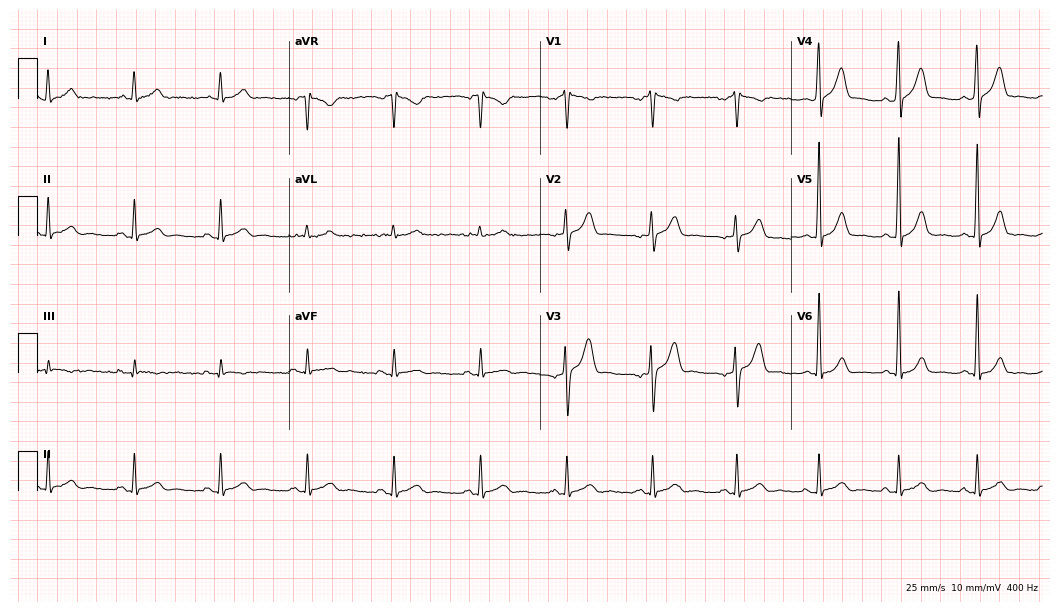
Resting 12-lead electrocardiogram. Patient: a man, 40 years old. Read as a normal ECG.